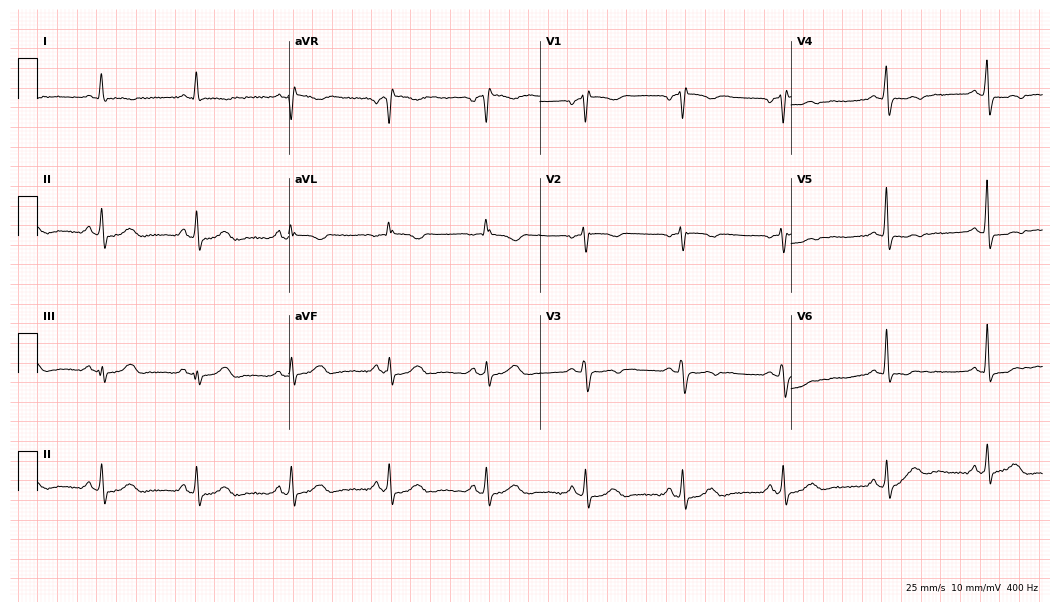
Electrocardiogram, a 61-year-old woman. Of the six screened findings (first-degree AV block, right bundle branch block, left bundle branch block, sinus bradycardia, atrial fibrillation, sinus tachycardia), none is recorded.